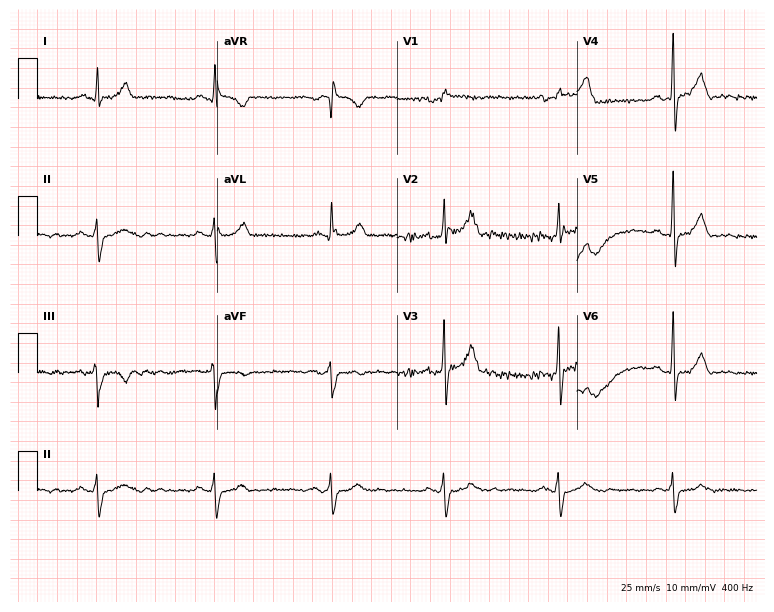
ECG (7.3-second recording at 400 Hz) — a 43-year-old male patient. Screened for six findings — first-degree AV block, right bundle branch block (RBBB), left bundle branch block (LBBB), sinus bradycardia, atrial fibrillation (AF), sinus tachycardia — none is recorded.